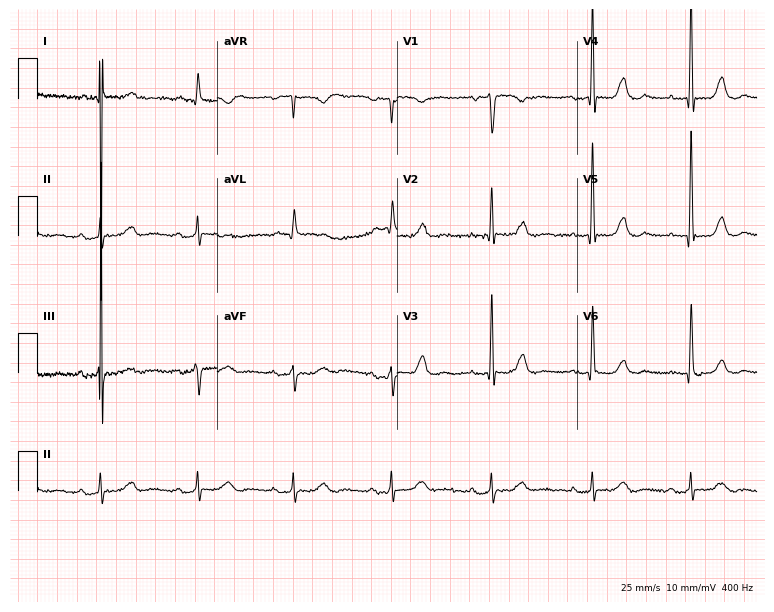
Resting 12-lead electrocardiogram. Patient: a woman, 83 years old. None of these six findings is recorded: first-degree AV block, right bundle branch block, left bundle branch block, sinus bradycardia, atrial fibrillation, sinus tachycardia.